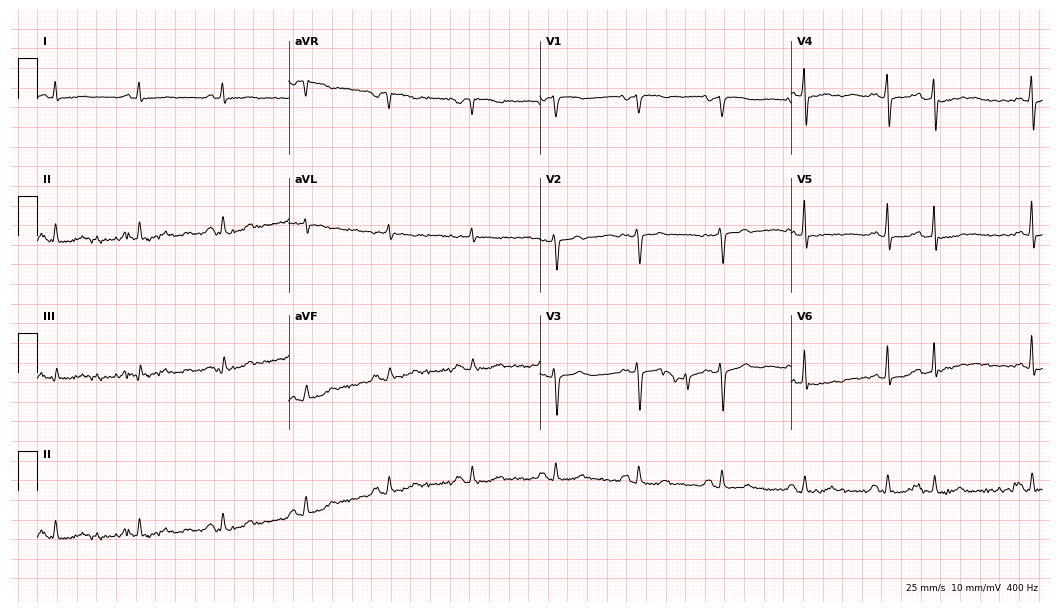
Resting 12-lead electrocardiogram. Patient: a woman, 62 years old. Read as a normal ECG.